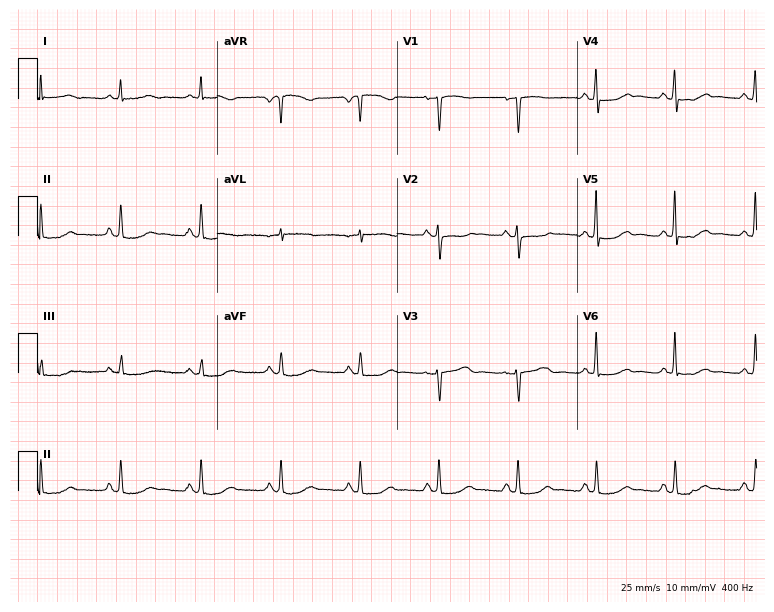
Electrocardiogram (7.3-second recording at 400 Hz), a female patient, 56 years old. Overall reading on record: normal ECG.